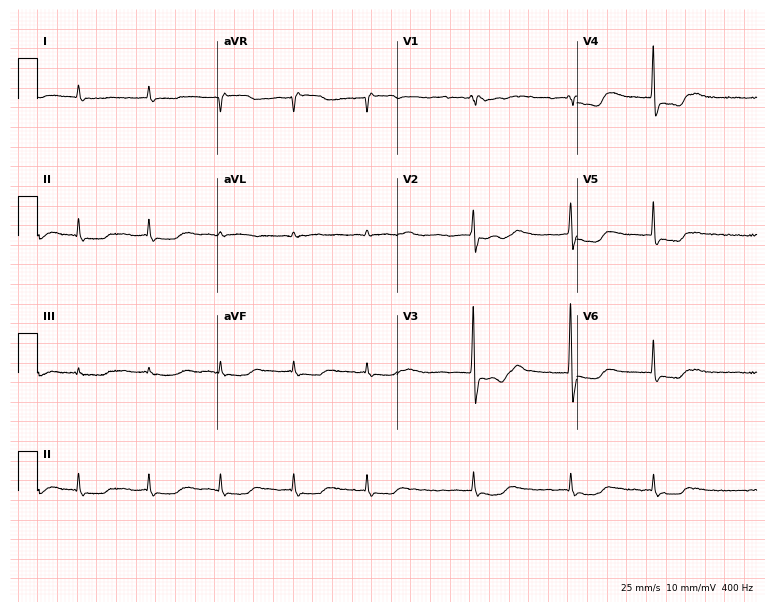
Electrocardiogram, a 67-year-old man. Interpretation includes atrial fibrillation (AF).